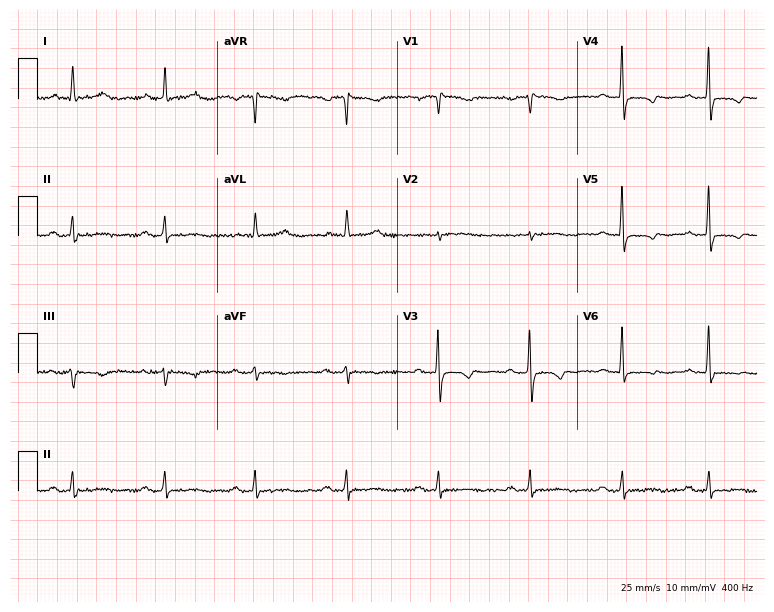
Electrocardiogram, a woman, 67 years old. Of the six screened findings (first-degree AV block, right bundle branch block, left bundle branch block, sinus bradycardia, atrial fibrillation, sinus tachycardia), none is recorded. Findings outside these six are not listed.